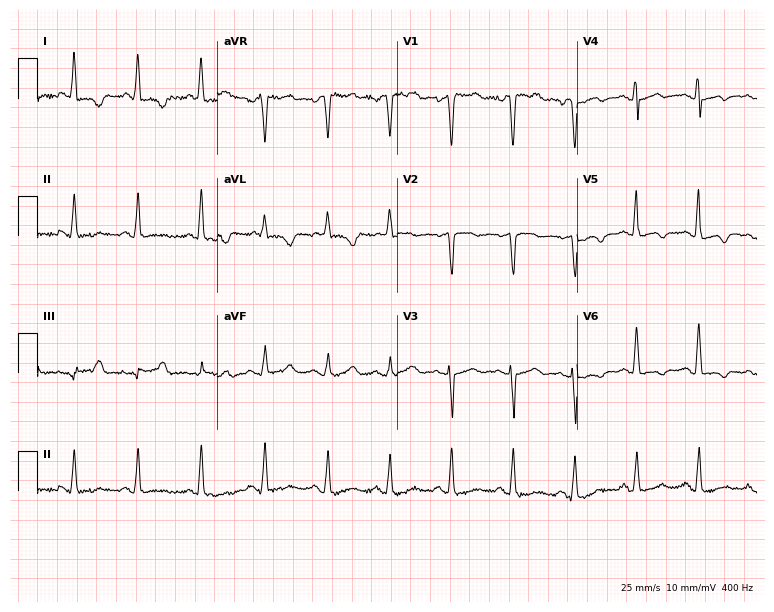
12-lead ECG (7.3-second recording at 400 Hz) from a 58-year-old woman. Screened for six findings — first-degree AV block, right bundle branch block, left bundle branch block, sinus bradycardia, atrial fibrillation, sinus tachycardia — none is recorded. Only these six findings were labelled.